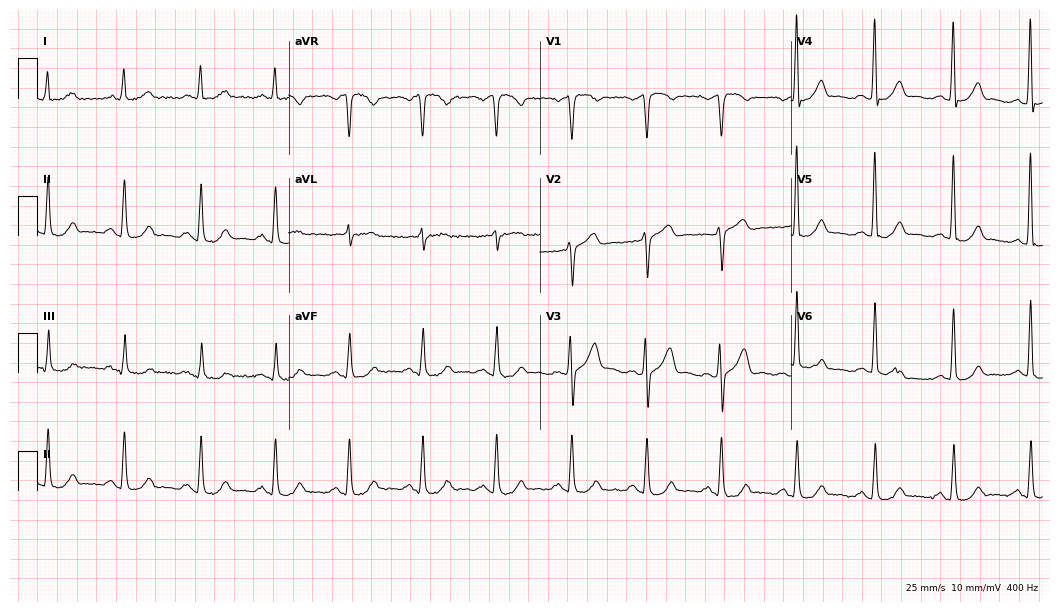
ECG (10.2-second recording at 400 Hz) — a 52-year-old male patient. Screened for six findings — first-degree AV block, right bundle branch block, left bundle branch block, sinus bradycardia, atrial fibrillation, sinus tachycardia — none is recorded.